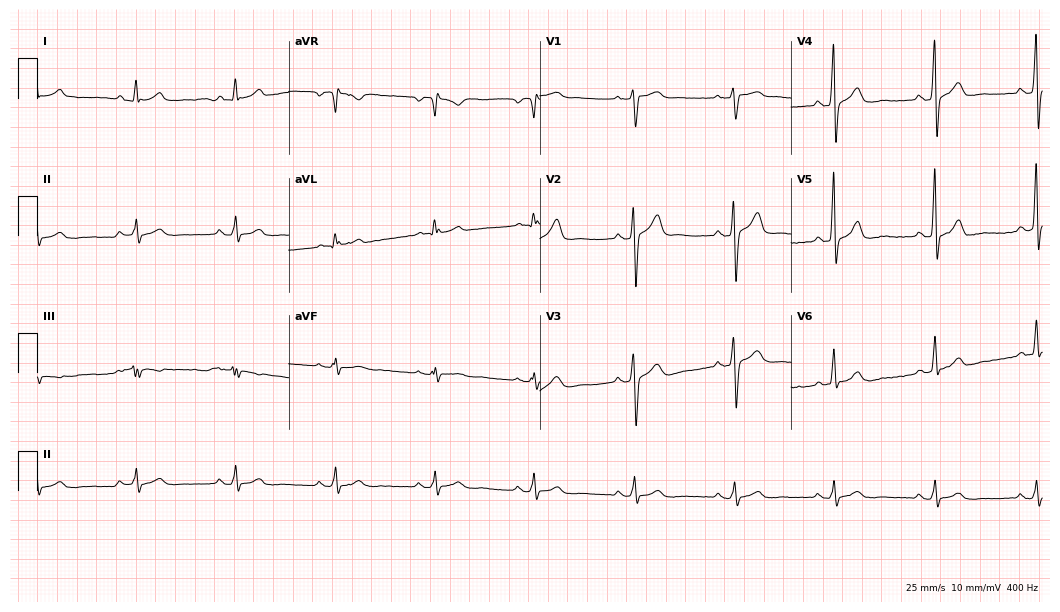
12-lead ECG from a 55-year-old male. Screened for six findings — first-degree AV block, right bundle branch block, left bundle branch block, sinus bradycardia, atrial fibrillation, sinus tachycardia — none is recorded. Only these six findings were labelled.